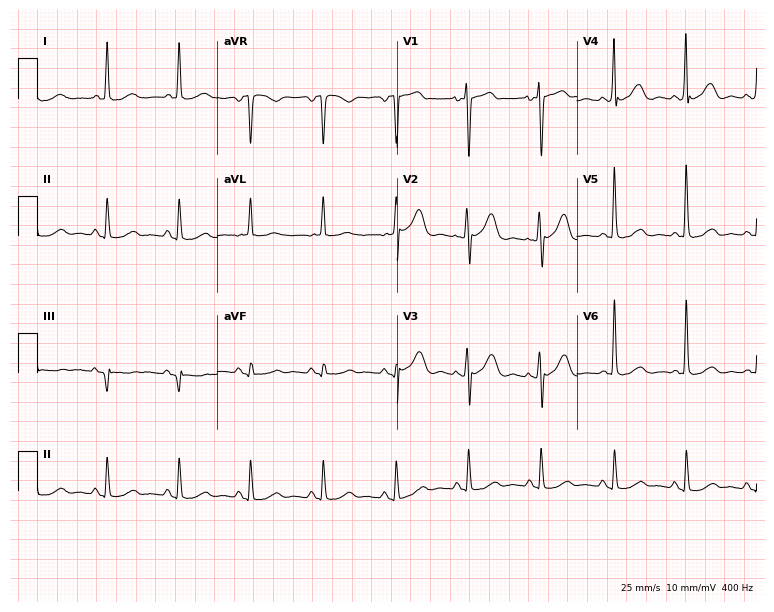
12-lead ECG (7.3-second recording at 400 Hz) from a female, 74 years old. Screened for six findings — first-degree AV block, right bundle branch block, left bundle branch block, sinus bradycardia, atrial fibrillation, sinus tachycardia — none is recorded.